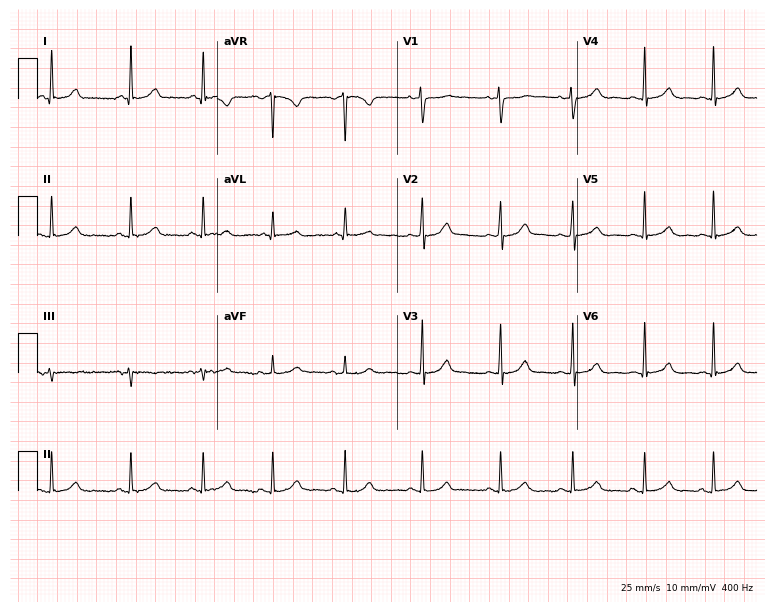
Electrocardiogram (7.3-second recording at 400 Hz), a female patient, 43 years old. Overall reading on record: normal ECG.